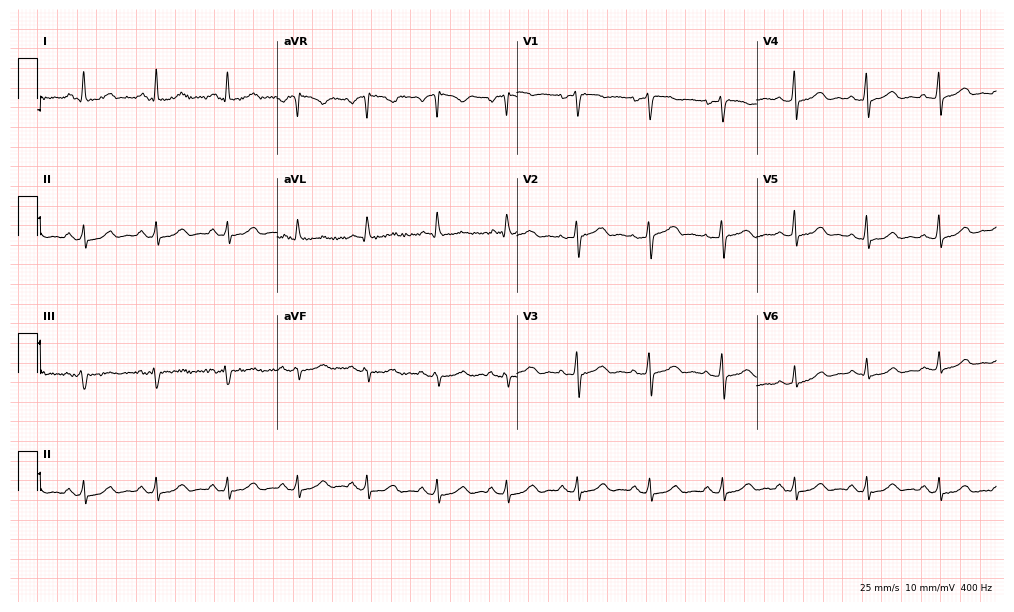
Standard 12-lead ECG recorded from a female patient, 51 years old. Read as a normal ECG.